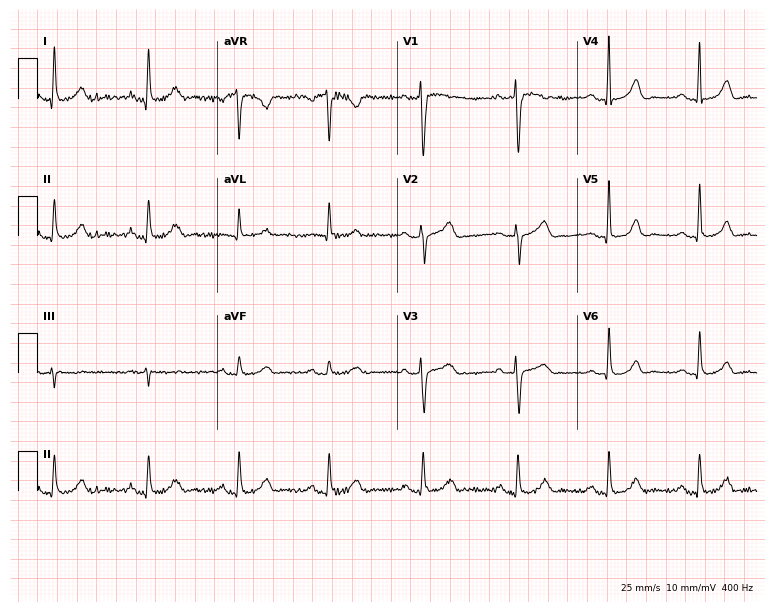
12-lead ECG (7.3-second recording at 400 Hz) from a female patient, 48 years old. Labelled as a normal ECG.